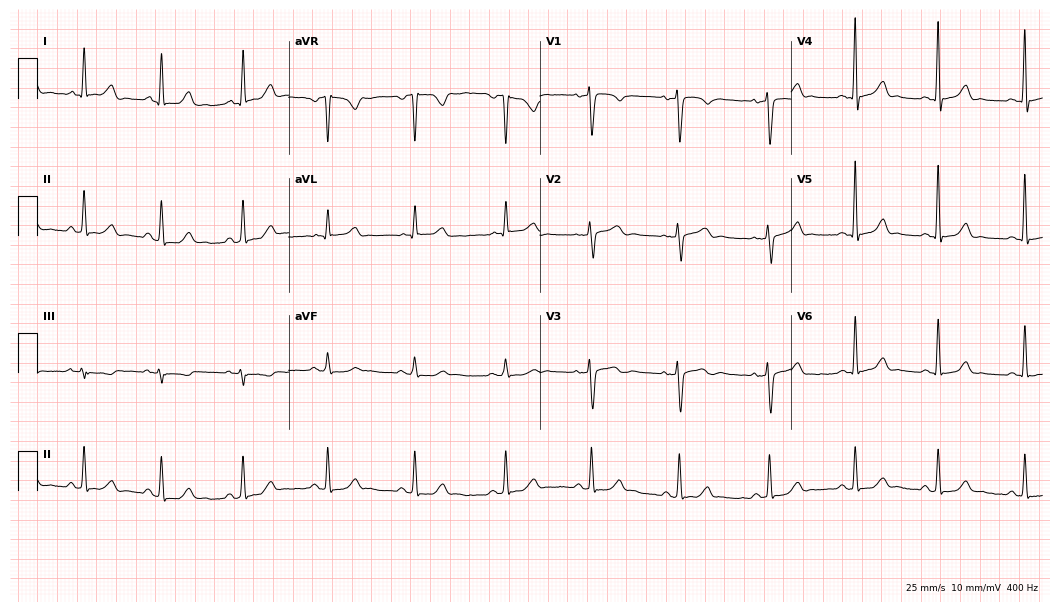
12-lead ECG from a female patient, 42 years old. Labelled as a normal ECG.